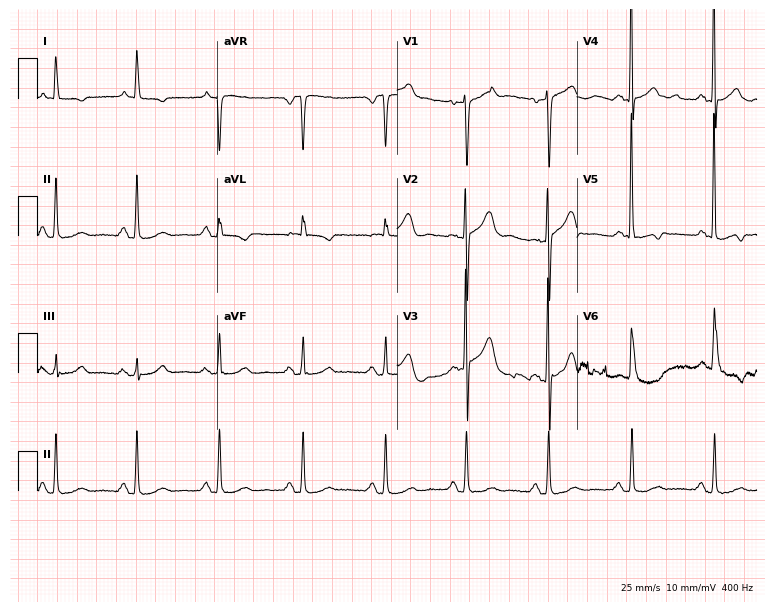
Resting 12-lead electrocardiogram (7.3-second recording at 400 Hz). Patient: a 70-year-old male. None of these six findings is recorded: first-degree AV block, right bundle branch block, left bundle branch block, sinus bradycardia, atrial fibrillation, sinus tachycardia. Findings outside these six are not listed.